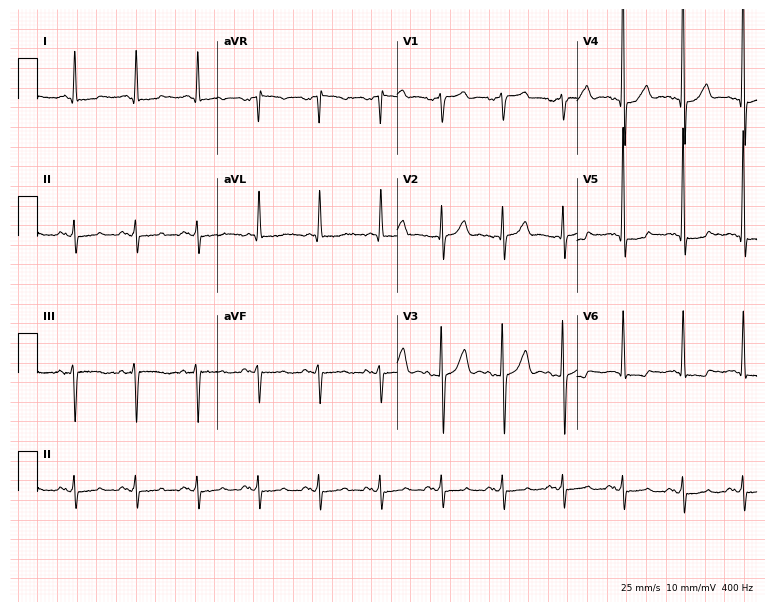
Standard 12-lead ECG recorded from a 70-year-old male patient. None of these six findings is recorded: first-degree AV block, right bundle branch block (RBBB), left bundle branch block (LBBB), sinus bradycardia, atrial fibrillation (AF), sinus tachycardia.